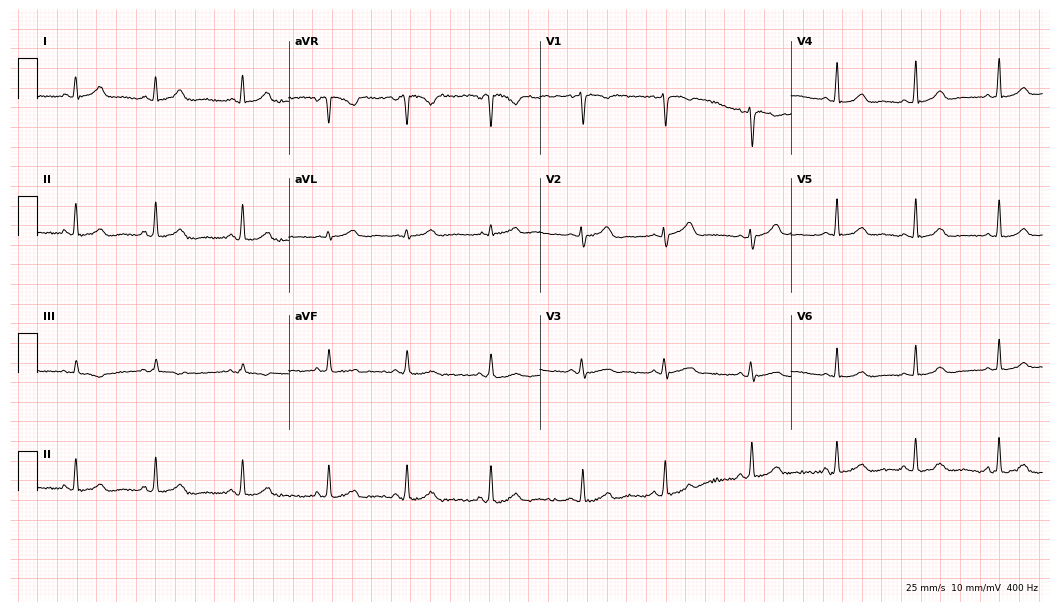
Resting 12-lead electrocardiogram (10.2-second recording at 400 Hz). Patient: a 17-year-old female. Read as a normal ECG.